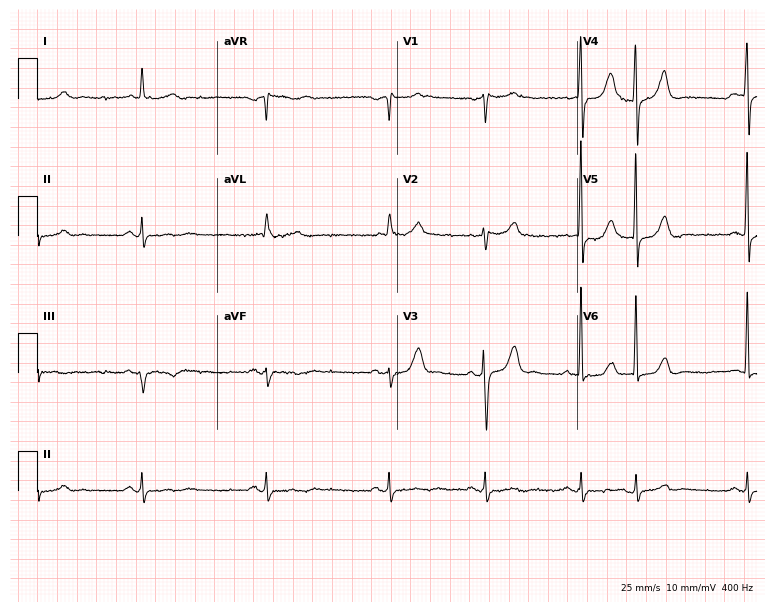
12-lead ECG (7.3-second recording at 400 Hz) from a man, 76 years old. Screened for six findings — first-degree AV block, right bundle branch block (RBBB), left bundle branch block (LBBB), sinus bradycardia, atrial fibrillation (AF), sinus tachycardia — none is recorded.